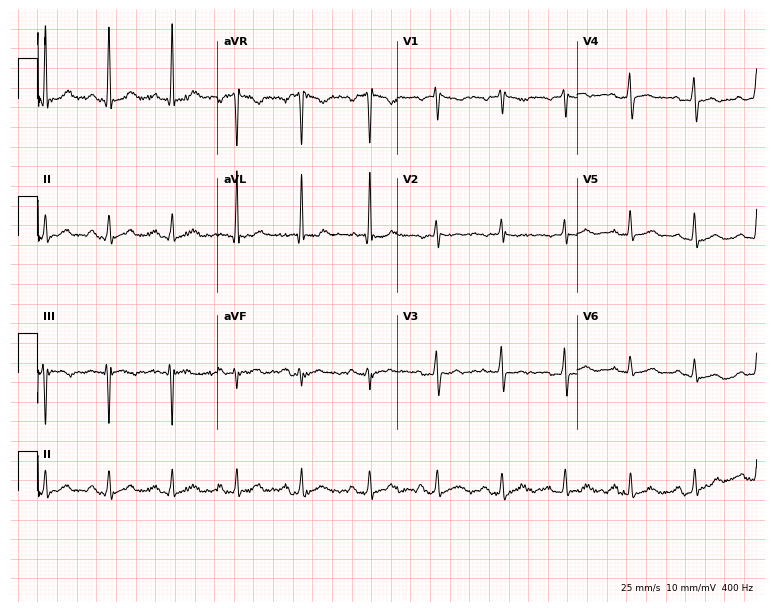
12-lead ECG from a female patient, 36 years old. Screened for six findings — first-degree AV block, right bundle branch block, left bundle branch block, sinus bradycardia, atrial fibrillation, sinus tachycardia — none is recorded.